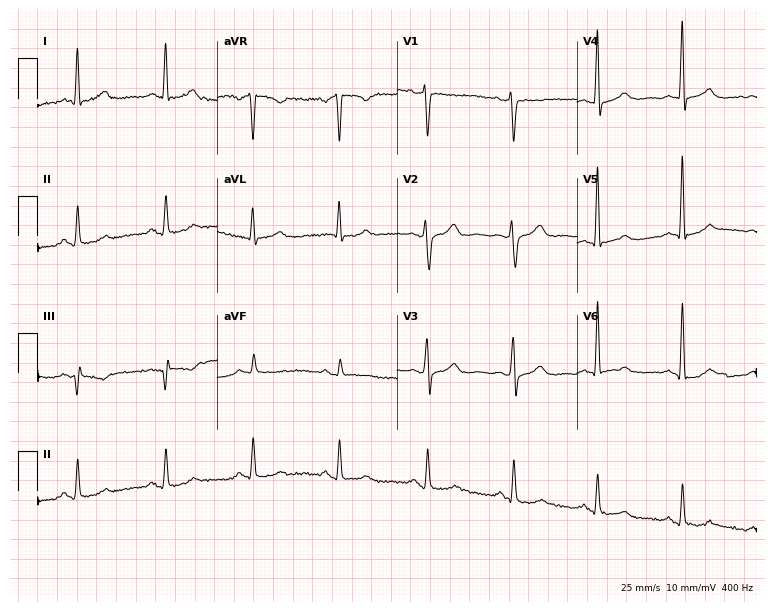
ECG — a 50-year-old man. Screened for six findings — first-degree AV block, right bundle branch block (RBBB), left bundle branch block (LBBB), sinus bradycardia, atrial fibrillation (AF), sinus tachycardia — none is recorded.